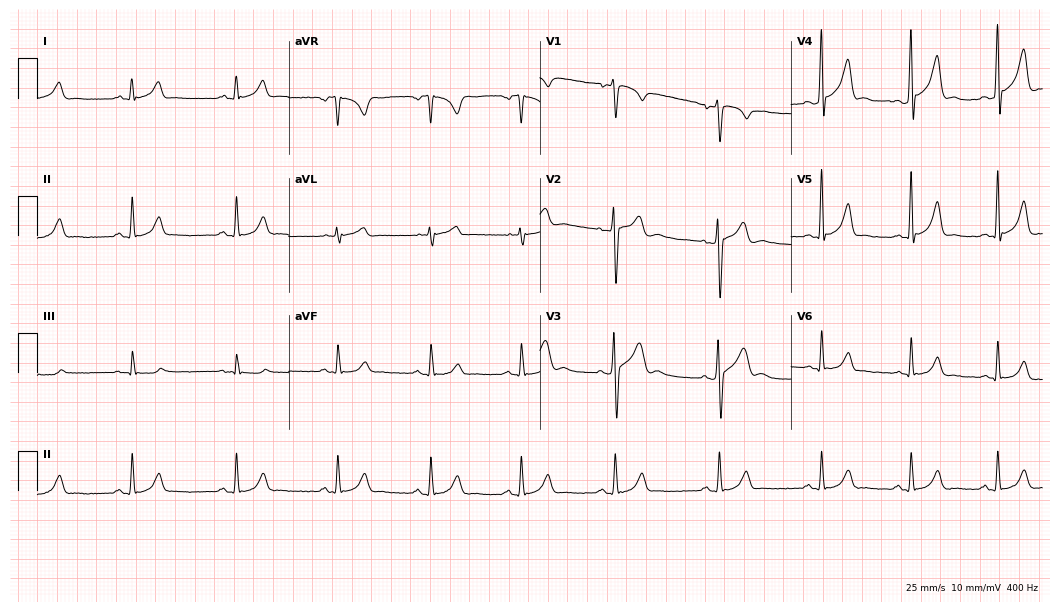
12-lead ECG from a 24-year-old male. Recorded interpretation: within normal limits.